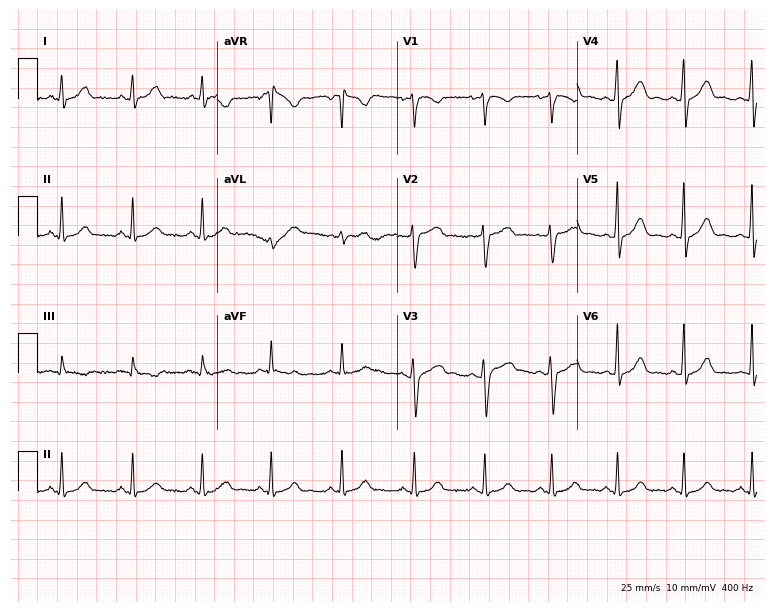
ECG — a 36-year-old female. Screened for six findings — first-degree AV block, right bundle branch block (RBBB), left bundle branch block (LBBB), sinus bradycardia, atrial fibrillation (AF), sinus tachycardia — none is recorded. Only these six findings were labelled.